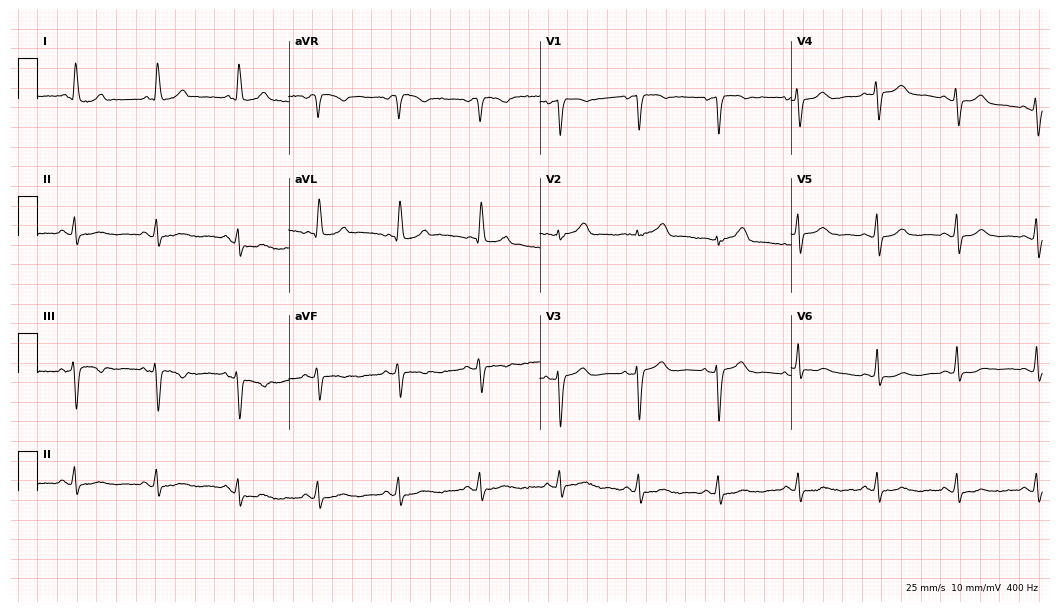
Standard 12-lead ECG recorded from an 81-year-old woman (10.2-second recording at 400 Hz). Read as a normal ECG.